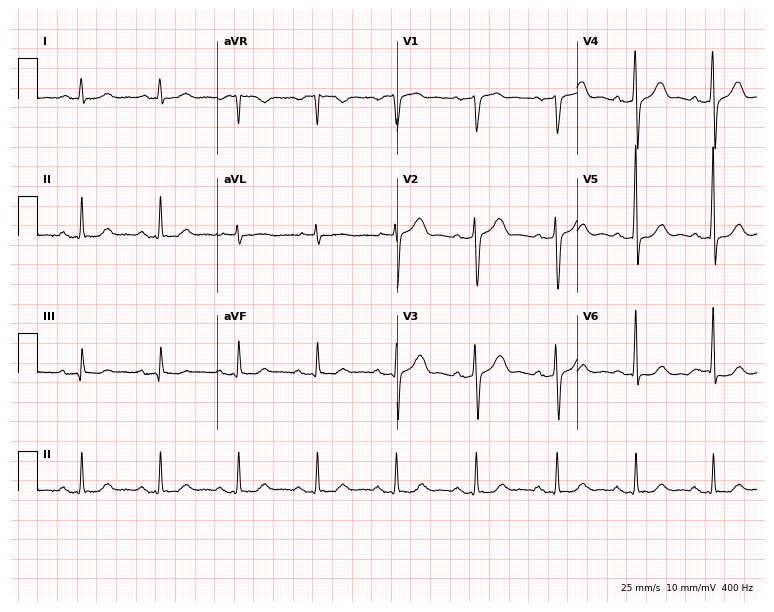
ECG (7.3-second recording at 400 Hz) — a male, 73 years old. Labelled as a normal ECG.